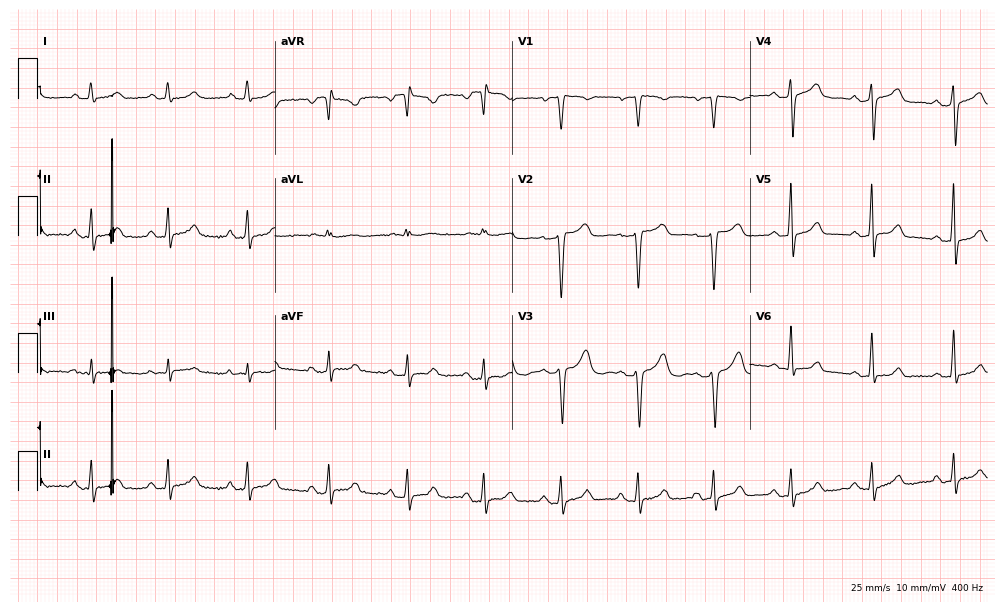
Electrocardiogram (9.7-second recording at 400 Hz), a female patient, 40 years old. Of the six screened findings (first-degree AV block, right bundle branch block, left bundle branch block, sinus bradycardia, atrial fibrillation, sinus tachycardia), none is recorded.